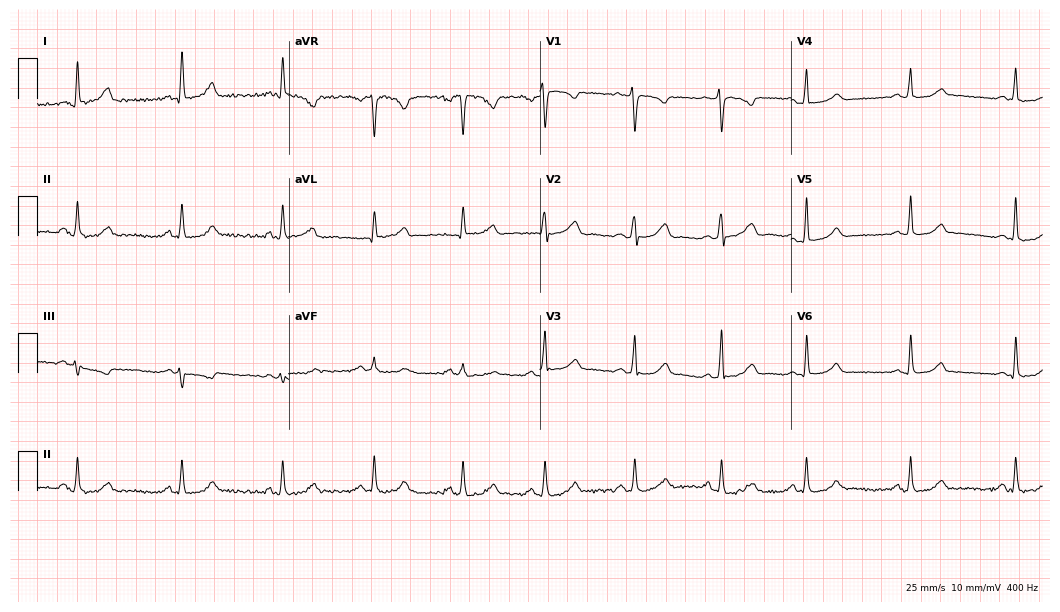
12-lead ECG from a woman, 41 years old (10.2-second recording at 400 Hz). No first-degree AV block, right bundle branch block (RBBB), left bundle branch block (LBBB), sinus bradycardia, atrial fibrillation (AF) or sinus tachycardia recorded for this tracing. Findings outside these six are not listed.